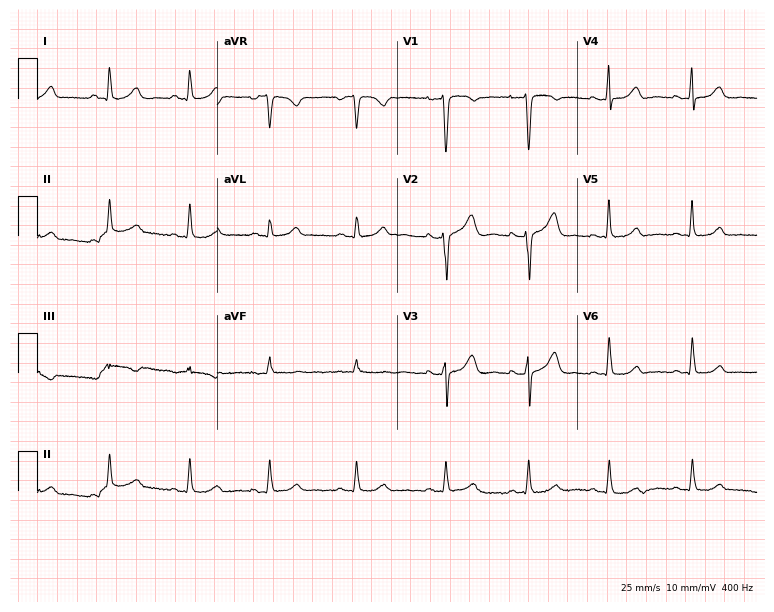
12-lead ECG (7.3-second recording at 400 Hz) from a female, 40 years old. Labelled as a normal ECG.